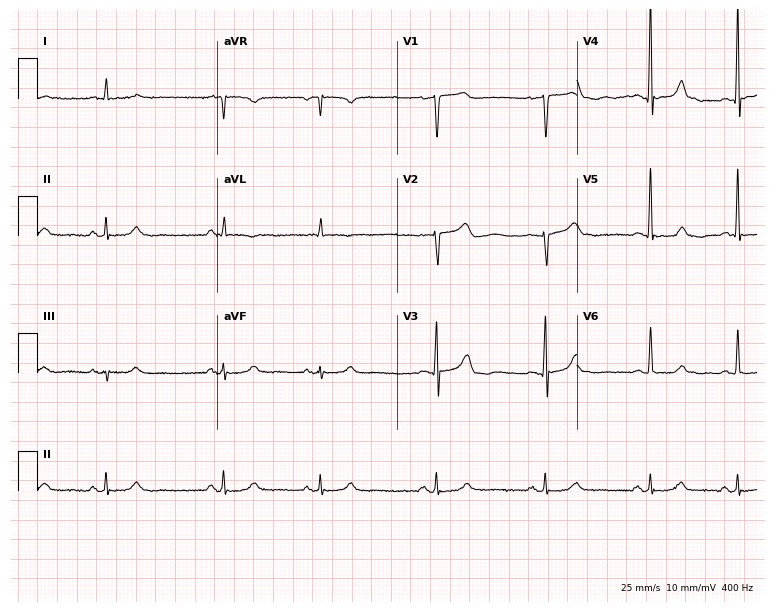
12-lead ECG from a female, 62 years old (7.3-second recording at 400 Hz). No first-degree AV block, right bundle branch block, left bundle branch block, sinus bradycardia, atrial fibrillation or sinus tachycardia recorded for this tracing. Only these six findings were labelled.